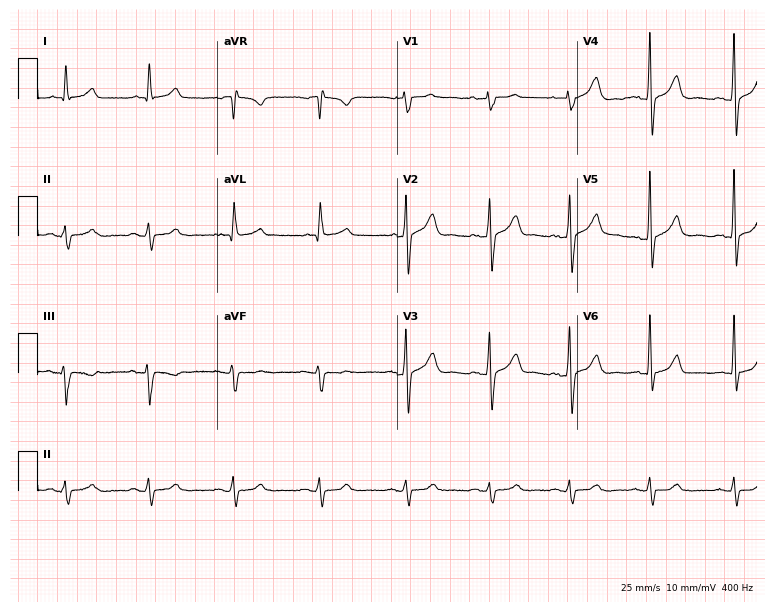
Standard 12-lead ECG recorded from a male, 52 years old (7.3-second recording at 400 Hz). Read as a normal ECG.